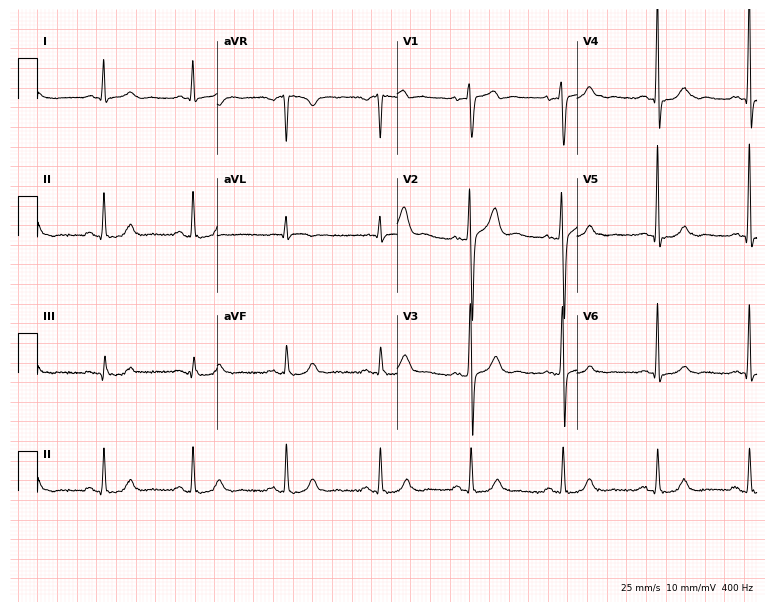
Resting 12-lead electrocardiogram. Patient: a 49-year-old male. Read as a normal ECG.